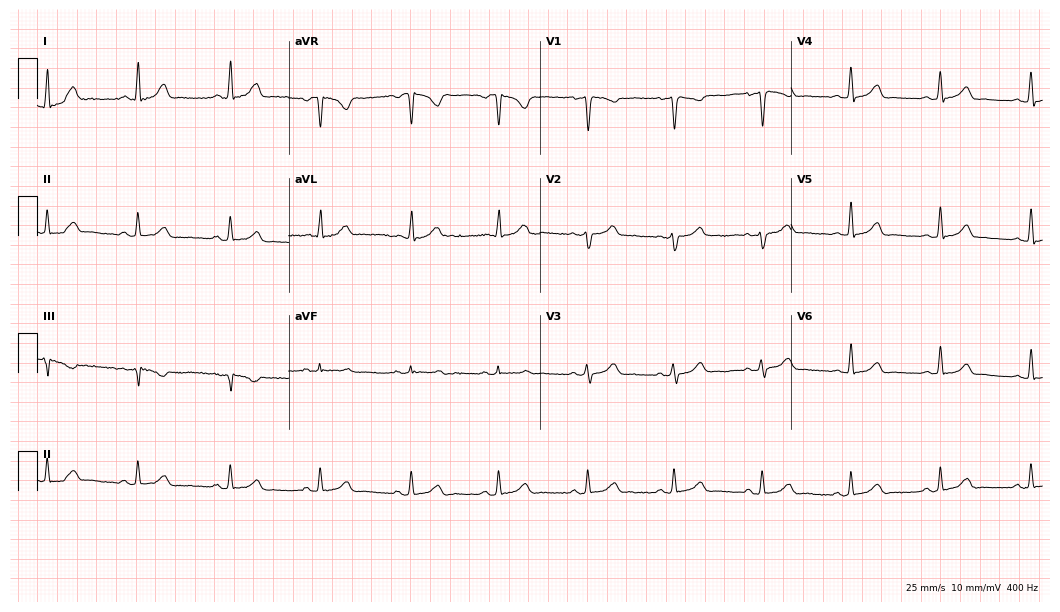
Standard 12-lead ECG recorded from a woman, 39 years old. Read as a normal ECG.